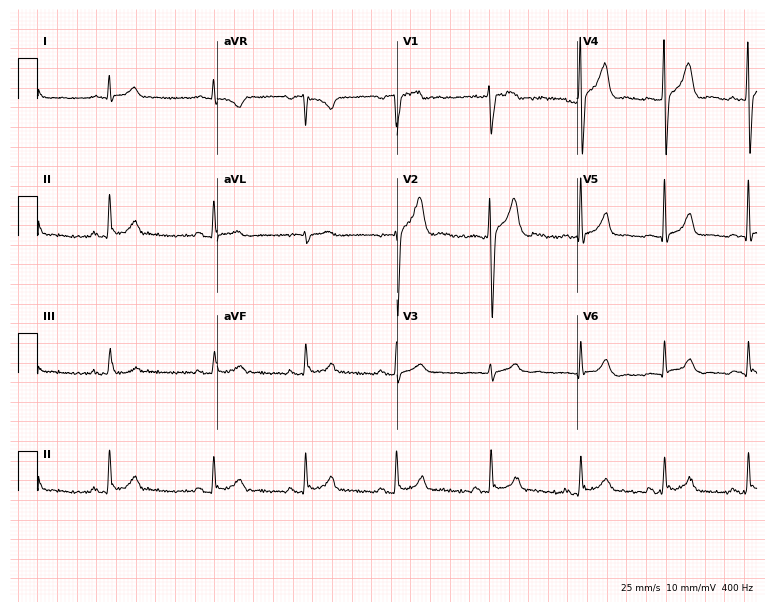
Resting 12-lead electrocardiogram. Patient: a male, 26 years old. Read as a normal ECG.